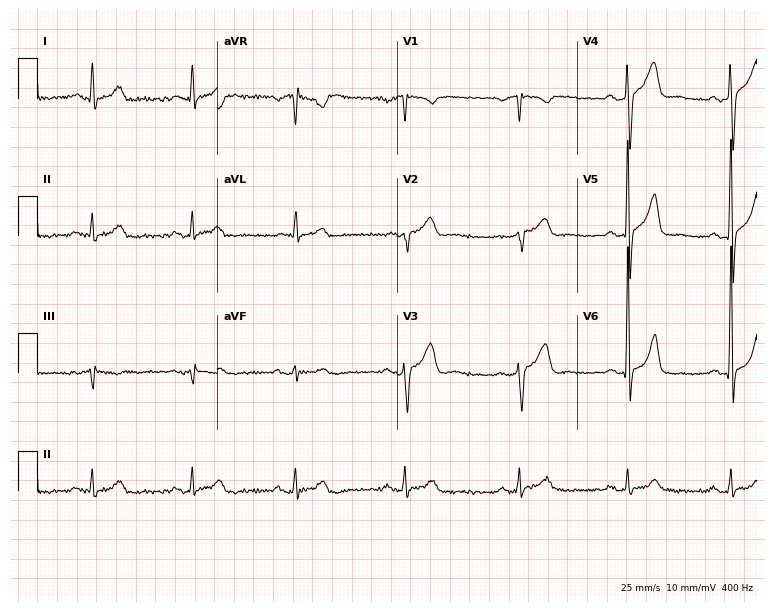
ECG — a male, 69 years old. Screened for six findings — first-degree AV block, right bundle branch block (RBBB), left bundle branch block (LBBB), sinus bradycardia, atrial fibrillation (AF), sinus tachycardia — none is recorded.